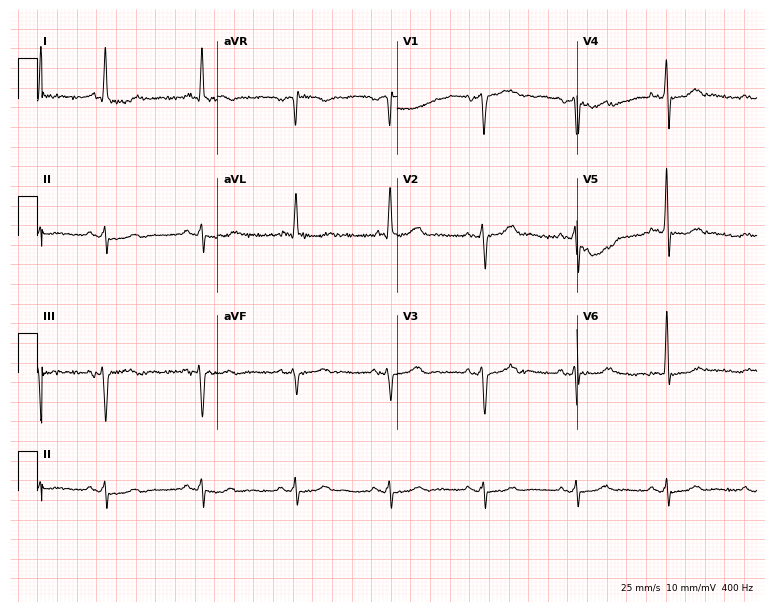
Resting 12-lead electrocardiogram (7.3-second recording at 400 Hz). Patient: a male, 71 years old. None of these six findings is recorded: first-degree AV block, right bundle branch block, left bundle branch block, sinus bradycardia, atrial fibrillation, sinus tachycardia.